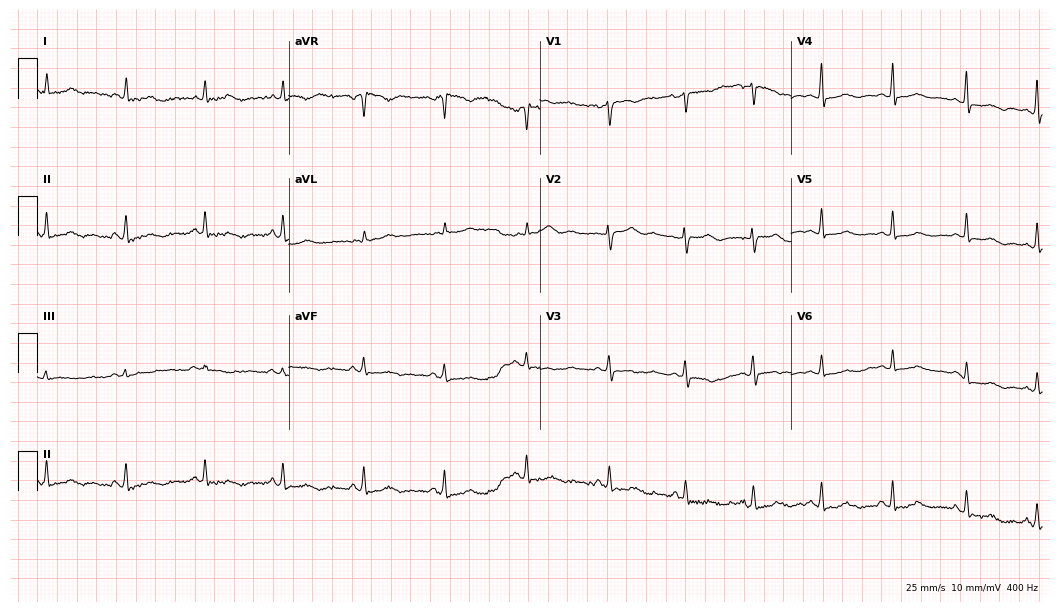
Standard 12-lead ECG recorded from a female patient, 46 years old (10.2-second recording at 400 Hz). None of these six findings is recorded: first-degree AV block, right bundle branch block, left bundle branch block, sinus bradycardia, atrial fibrillation, sinus tachycardia. Only these six findings were labelled.